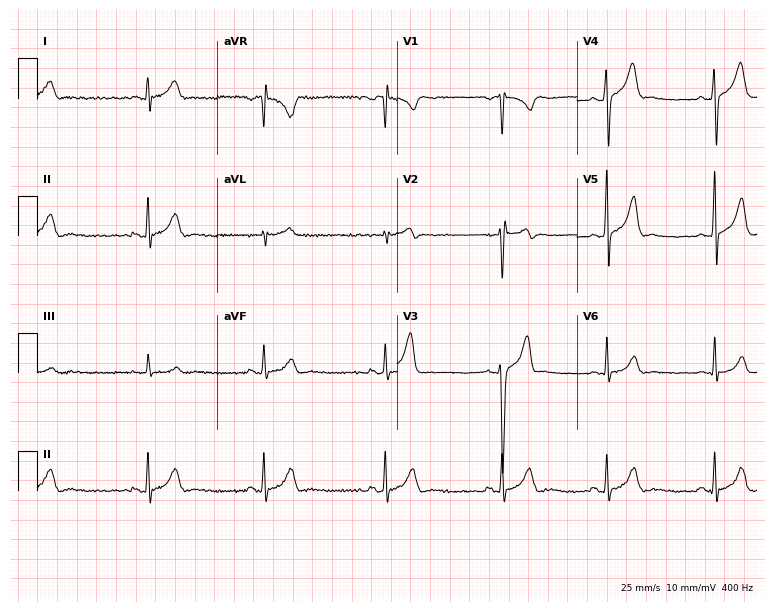
Electrocardiogram, a 22-year-old male. Of the six screened findings (first-degree AV block, right bundle branch block (RBBB), left bundle branch block (LBBB), sinus bradycardia, atrial fibrillation (AF), sinus tachycardia), none is recorded.